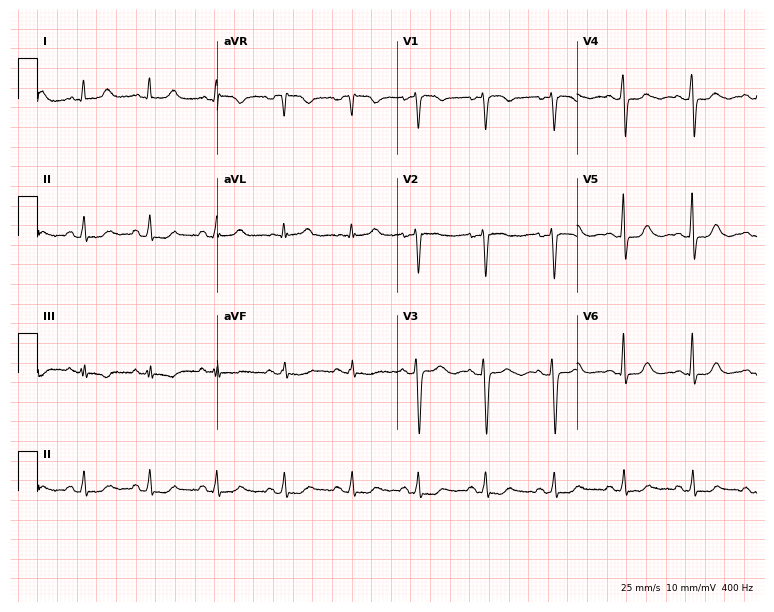
ECG (7.3-second recording at 400 Hz) — a 39-year-old woman. Screened for six findings — first-degree AV block, right bundle branch block (RBBB), left bundle branch block (LBBB), sinus bradycardia, atrial fibrillation (AF), sinus tachycardia — none is recorded. Findings outside these six are not listed.